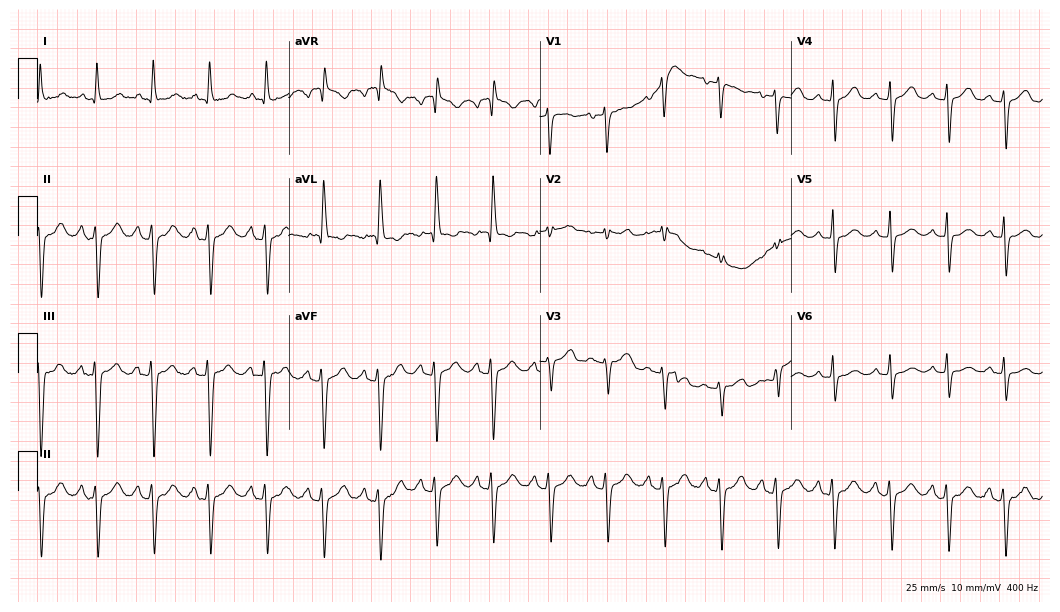
12-lead ECG from a female patient, 69 years old. Shows sinus tachycardia (a sinus rate of 100 beats per minute or more).